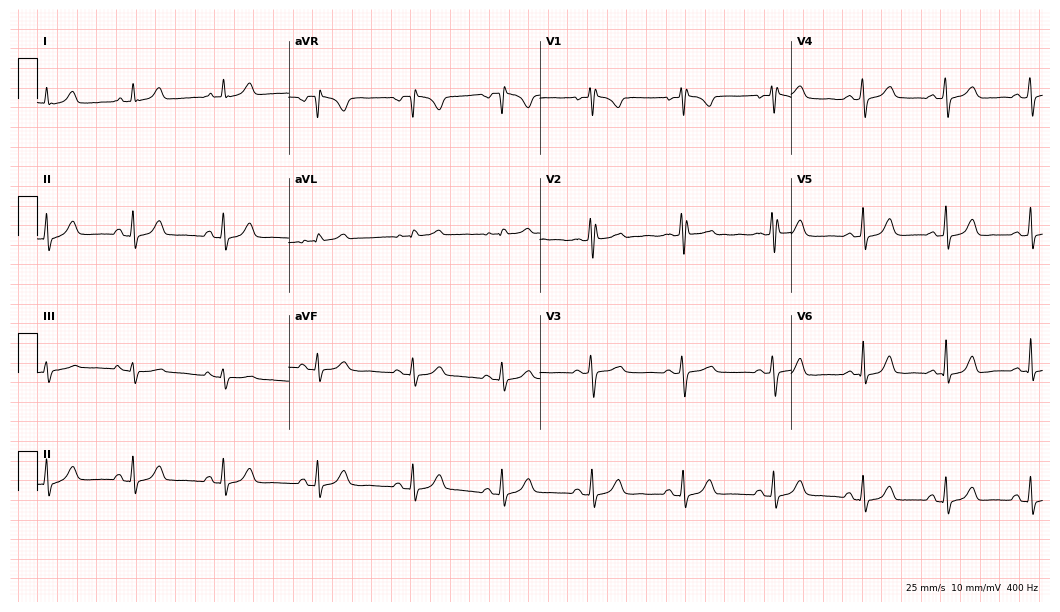
Standard 12-lead ECG recorded from a woman, 39 years old (10.2-second recording at 400 Hz). None of these six findings is recorded: first-degree AV block, right bundle branch block, left bundle branch block, sinus bradycardia, atrial fibrillation, sinus tachycardia.